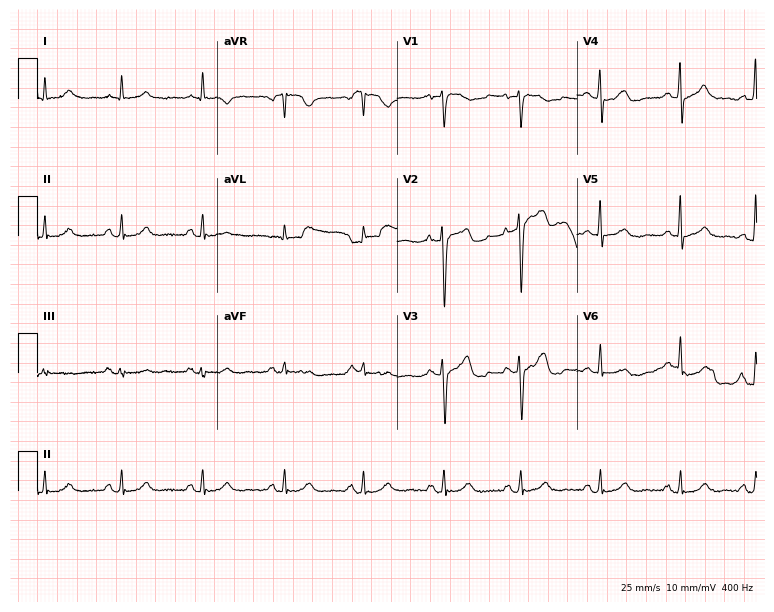
12-lead ECG from a man, 73 years old. Screened for six findings — first-degree AV block, right bundle branch block (RBBB), left bundle branch block (LBBB), sinus bradycardia, atrial fibrillation (AF), sinus tachycardia — none is recorded. Findings outside these six are not listed.